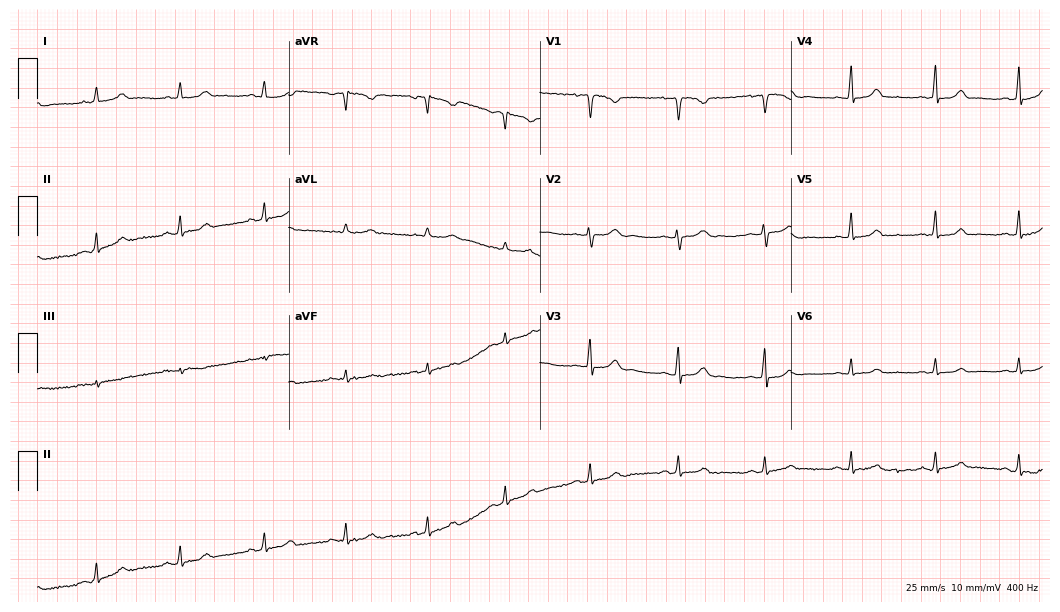
Resting 12-lead electrocardiogram. Patient: a female, 32 years old. Read as a normal ECG.